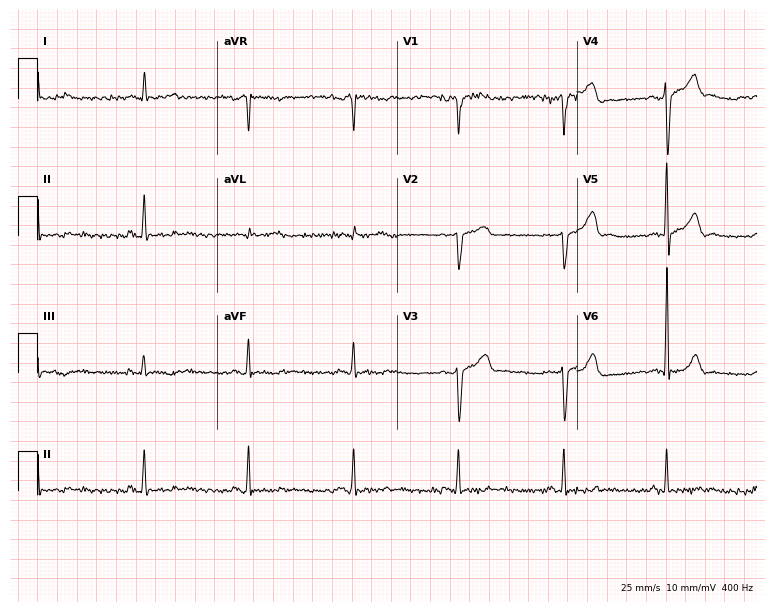
Resting 12-lead electrocardiogram. Patient: a 44-year-old man. None of these six findings is recorded: first-degree AV block, right bundle branch block, left bundle branch block, sinus bradycardia, atrial fibrillation, sinus tachycardia.